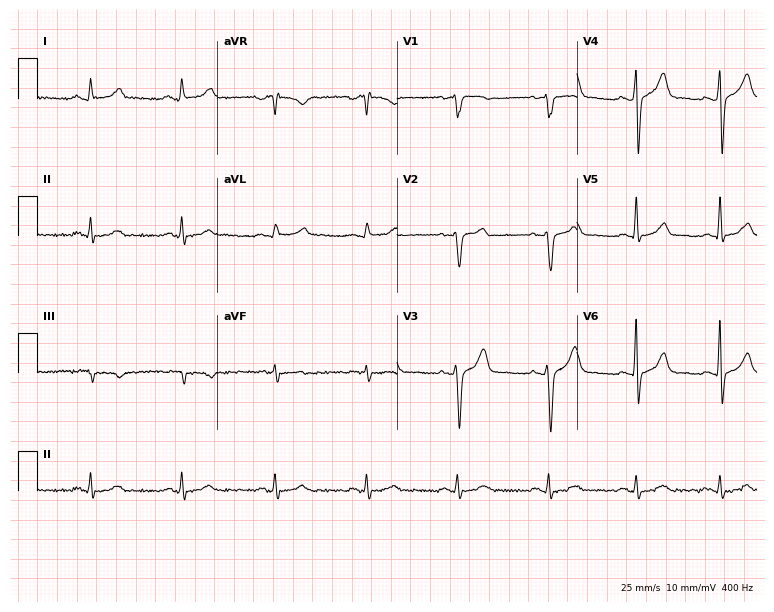
ECG (7.3-second recording at 400 Hz) — a 44-year-old man. Labelled as a normal ECG.